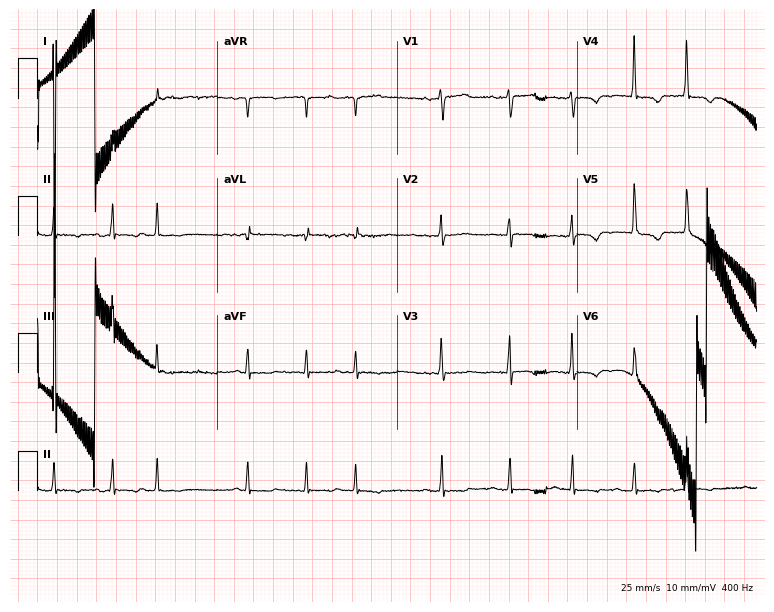
Standard 12-lead ECG recorded from a male patient, 80 years old (7.3-second recording at 400 Hz). None of these six findings is recorded: first-degree AV block, right bundle branch block (RBBB), left bundle branch block (LBBB), sinus bradycardia, atrial fibrillation (AF), sinus tachycardia. Other findings, if any, are not listed.